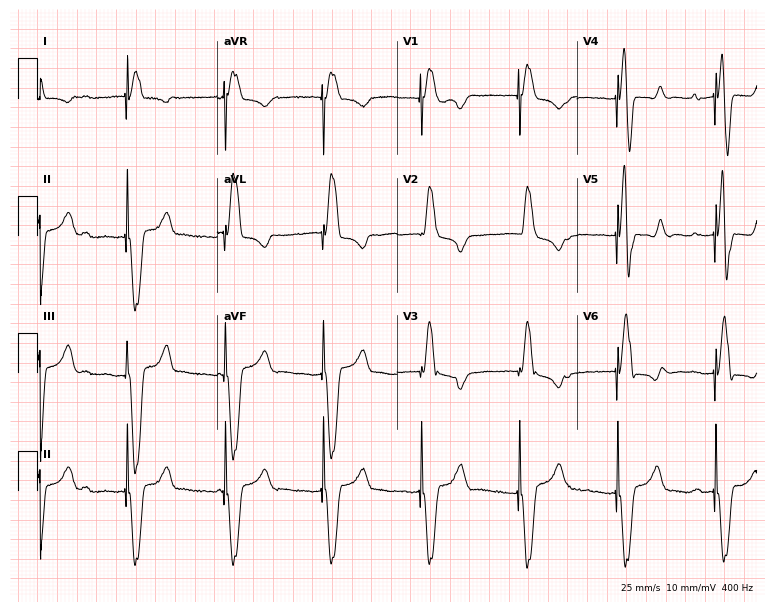
Resting 12-lead electrocardiogram. Patient: a 33-year-old male. None of these six findings is recorded: first-degree AV block, right bundle branch block, left bundle branch block, sinus bradycardia, atrial fibrillation, sinus tachycardia. Other findings, if any, are not listed.